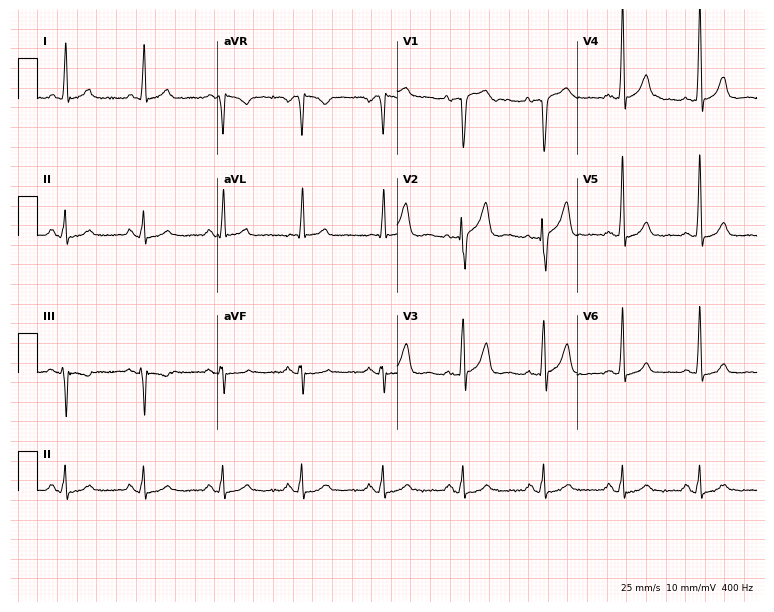
12-lead ECG from a 58-year-old male patient (7.3-second recording at 400 Hz). Recorded interpretation: within normal limits.